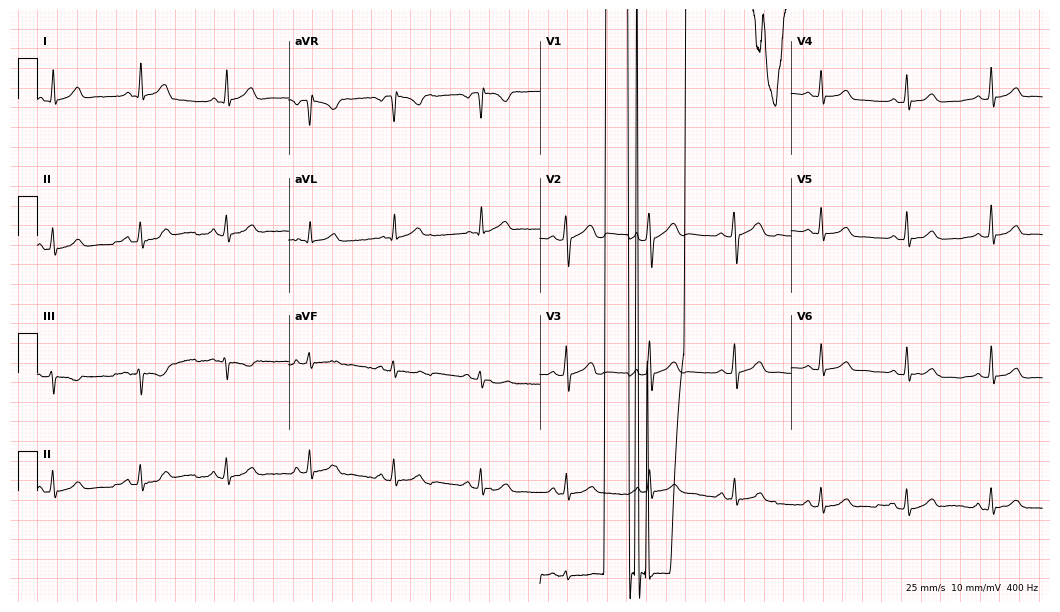
Electrocardiogram, a 36-year-old male patient. Of the six screened findings (first-degree AV block, right bundle branch block, left bundle branch block, sinus bradycardia, atrial fibrillation, sinus tachycardia), none is recorded.